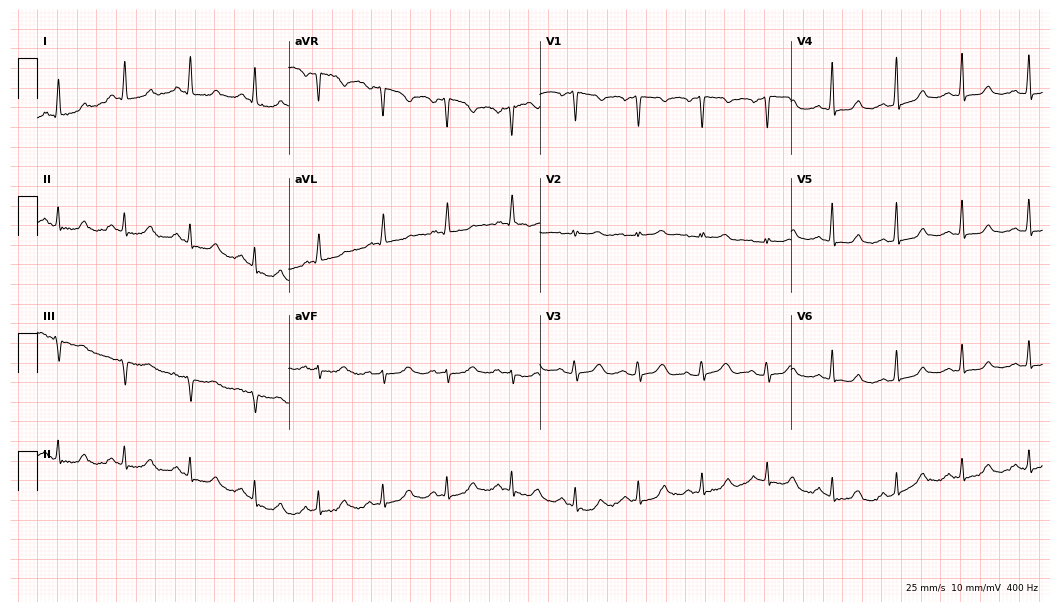
Standard 12-lead ECG recorded from a 66-year-old female (10.2-second recording at 400 Hz). Read as a normal ECG.